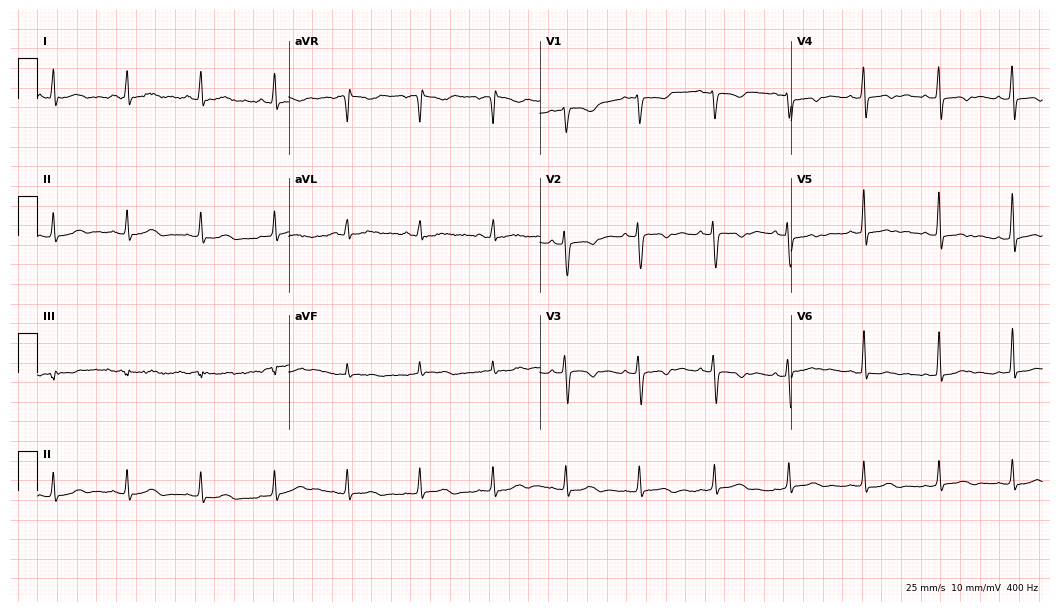
Electrocardiogram, a female patient, 36 years old. Of the six screened findings (first-degree AV block, right bundle branch block, left bundle branch block, sinus bradycardia, atrial fibrillation, sinus tachycardia), none is recorded. Only these six findings were labelled.